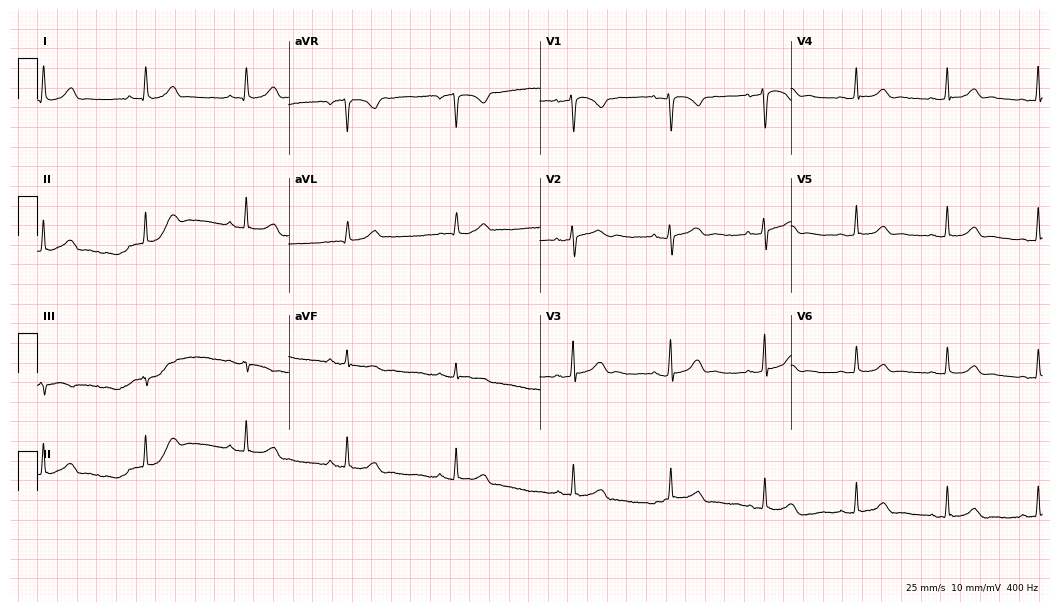
12-lead ECG from a woman, 43 years old. Labelled as a normal ECG.